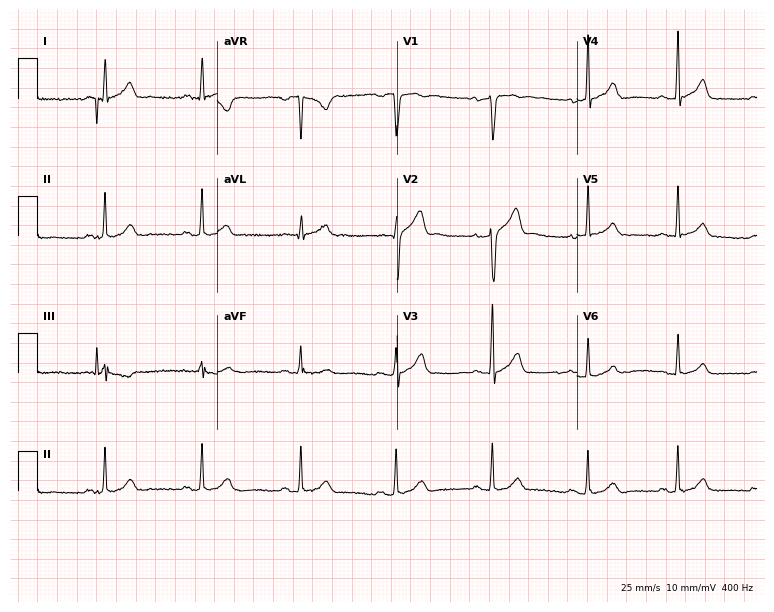
Resting 12-lead electrocardiogram (7.3-second recording at 400 Hz). Patient: a man, 41 years old. Read as a normal ECG.